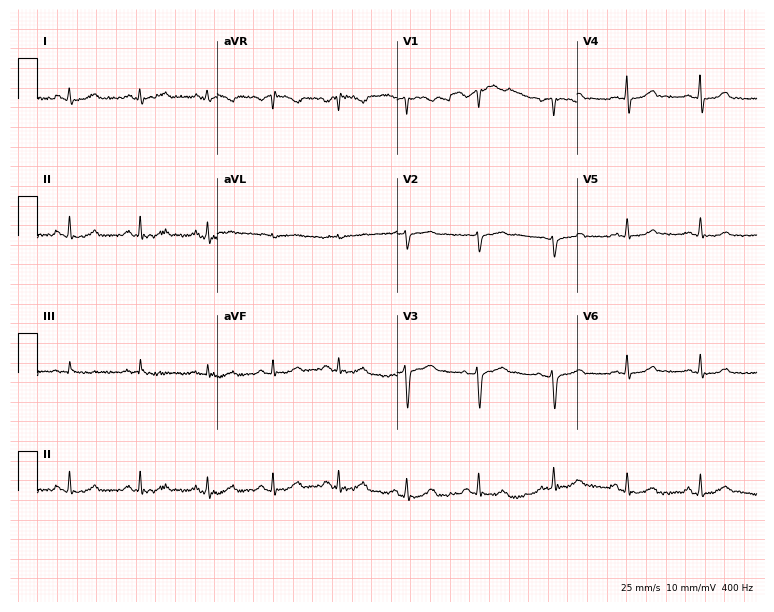
12-lead ECG (7.3-second recording at 400 Hz) from a male patient, 53 years old. Labelled as a normal ECG.